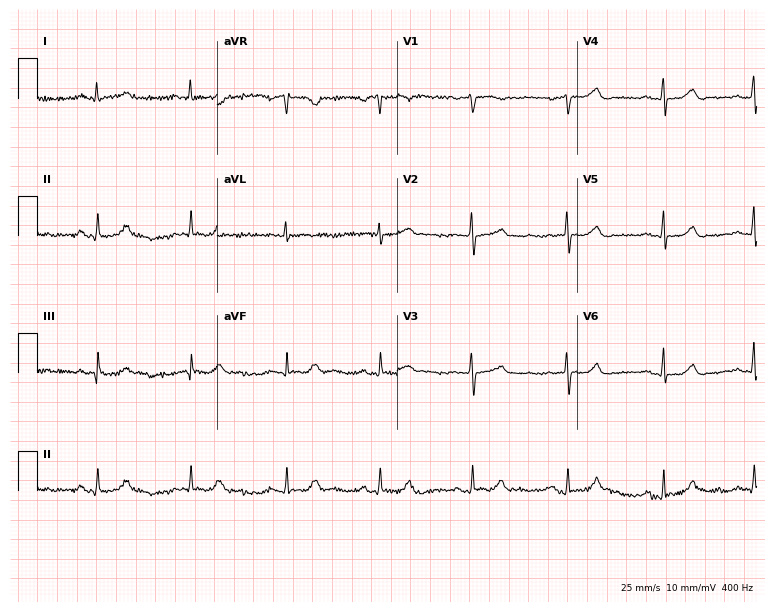
Electrocardiogram, a 55-year-old woman. Overall reading on record: normal ECG.